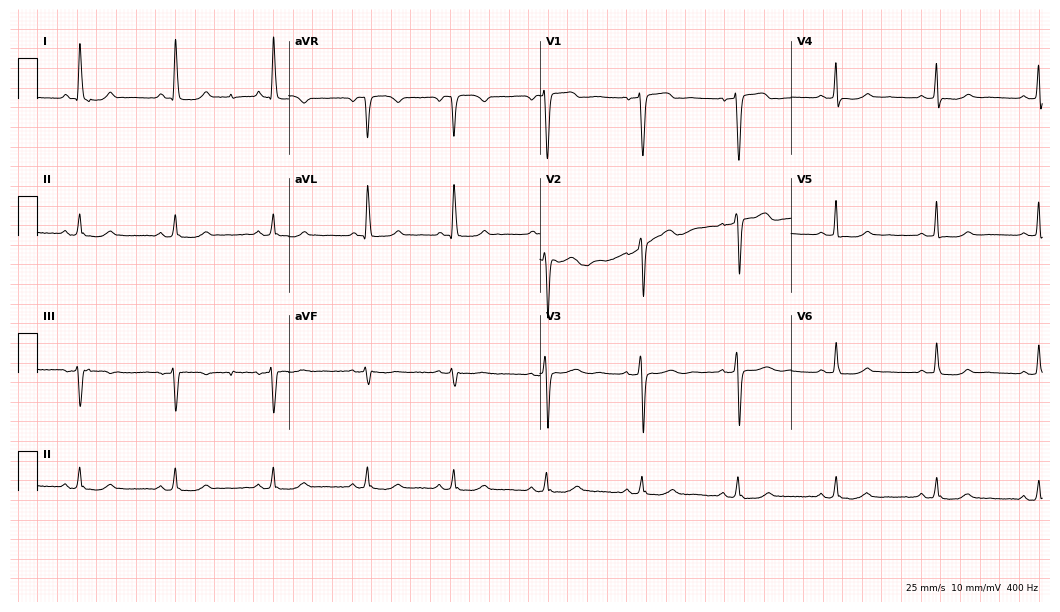
Resting 12-lead electrocardiogram (10.2-second recording at 400 Hz). Patient: a female, 53 years old. Read as a normal ECG.